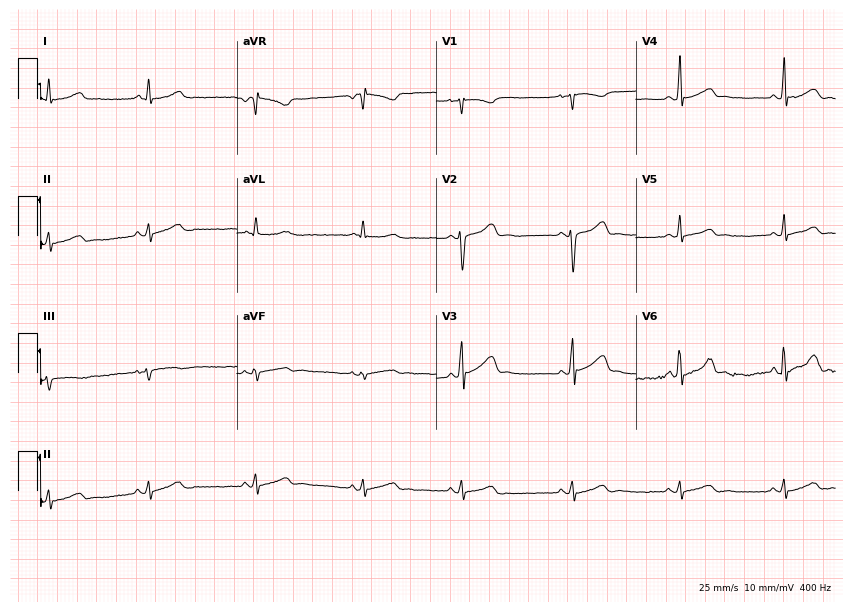
ECG (8.1-second recording at 400 Hz) — a 21-year-old female. Labelled as a normal ECG.